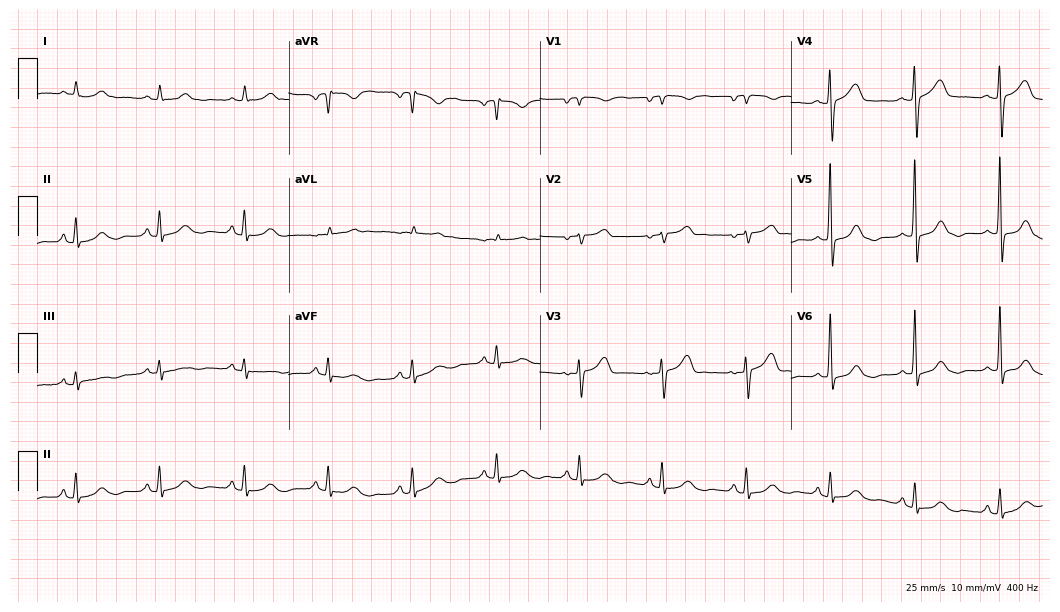
ECG (10.2-second recording at 400 Hz) — a woman, 68 years old. Labelled as a normal ECG.